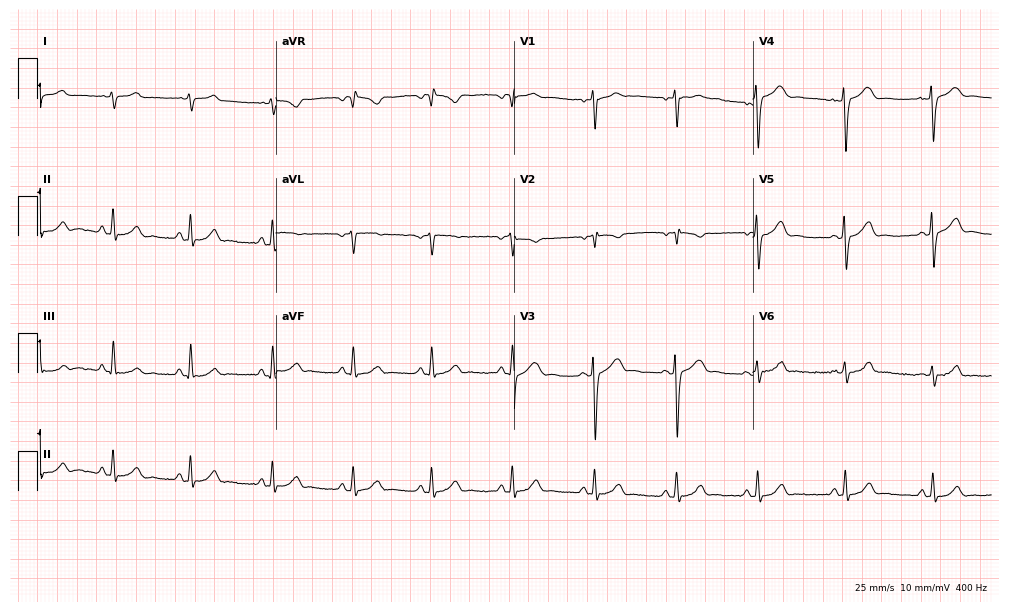
Resting 12-lead electrocardiogram (9.7-second recording at 400 Hz). Patient: a woman, 19 years old. None of these six findings is recorded: first-degree AV block, right bundle branch block, left bundle branch block, sinus bradycardia, atrial fibrillation, sinus tachycardia.